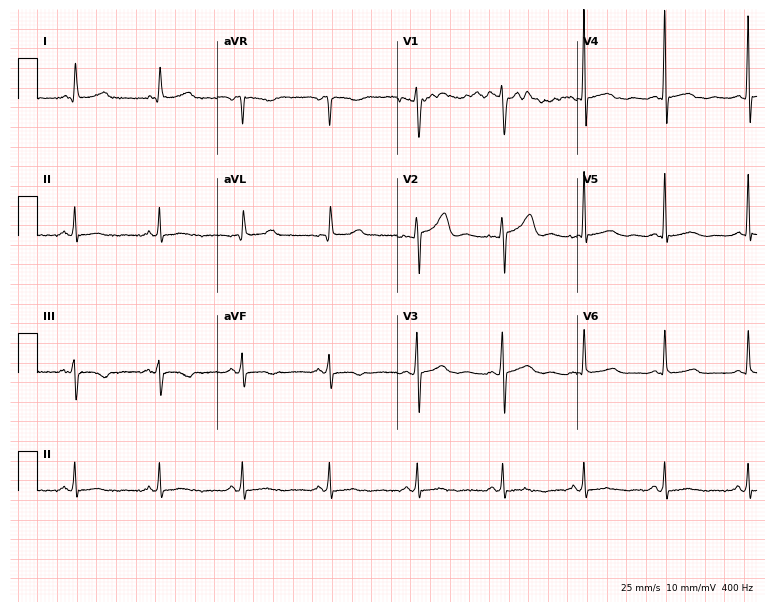
12-lead ECG from a 42-year-old female (7.3-second recording at 400 Hz). No first-degree AV block, right bundle branch block, left bundle branch block, sinus bradycardia, atrial fibrillation or sinus tachycardia recorded for this tracing. Findings outside these six are not listed.